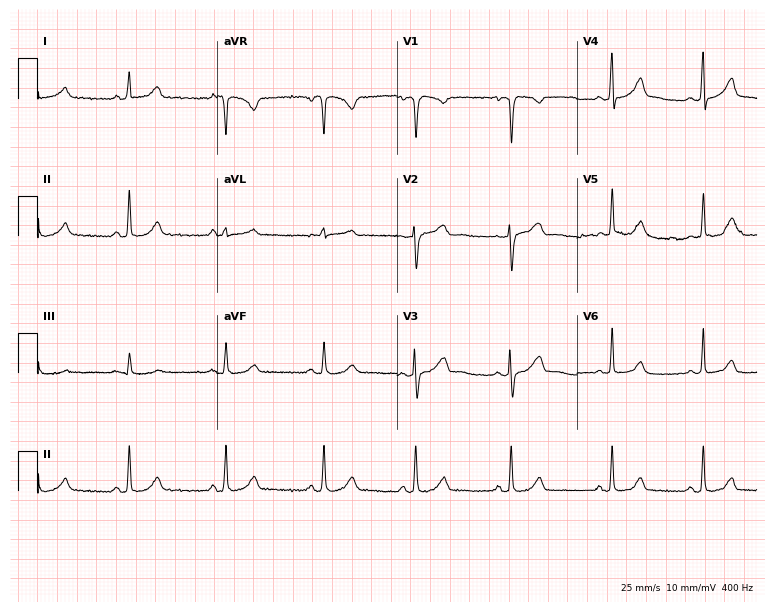
ECG — a 43-year-old female. Labelled as a normal ECG.